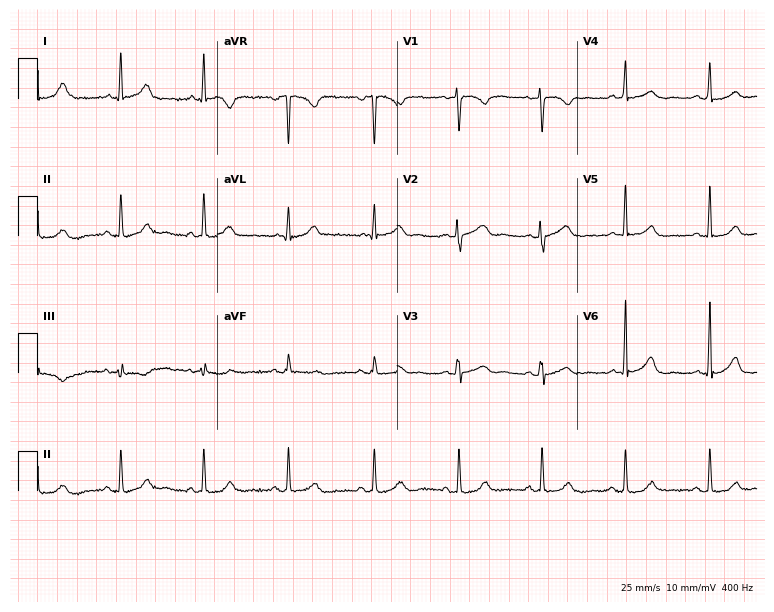
Standard 12-lead ECG recorded from a 39-year-old female patient (7.3-second recording at 400 Hz). Read as a normal ECG.